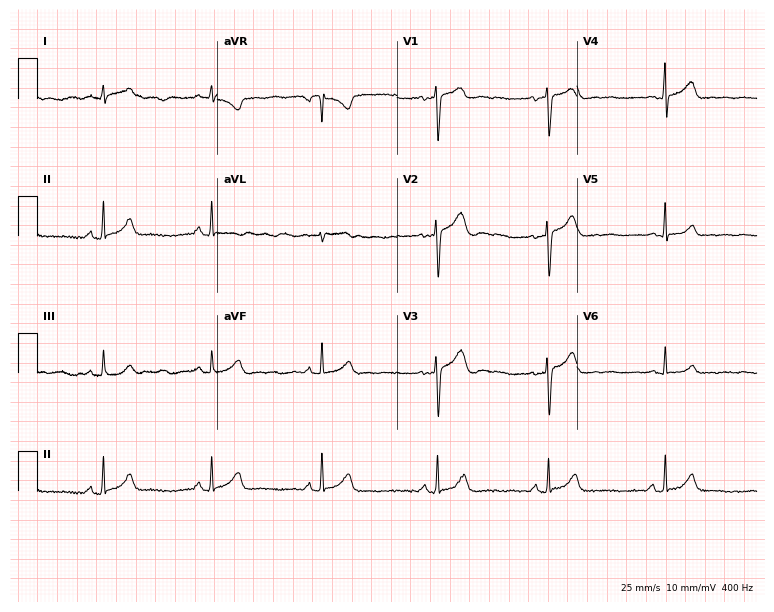
Standard 12-lead ECG recorded from a 44-year-old male (7.3-second recording at 400 Hz). None of these six findings is recorded: first-degree AV block, right bundle branch block, left bundle branch block, sinus bradycardia, atrial fibrillation, sinus tachycardia. Only these six findings were labelled.